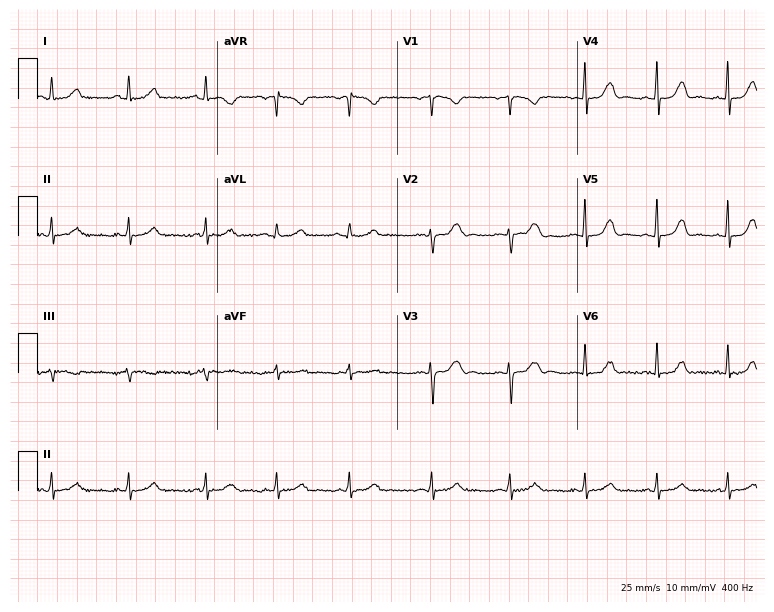
Resting 12-lead electrocardiogram. Patient: a 20-year-old woman. Read as a normal ECG.